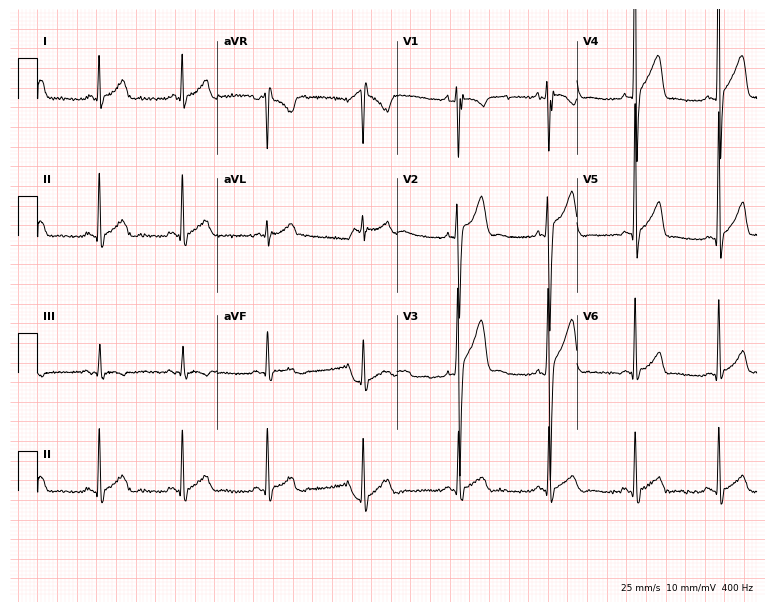
12-lead ECG from a 25-year-old male. Screened for six findings — first-degree AV block, right bundle branch block, left bundle branch block, sinus bradycardia, atrial fibrillation, sinus tachycardia — none is recorded. Only these six findings were labelled.